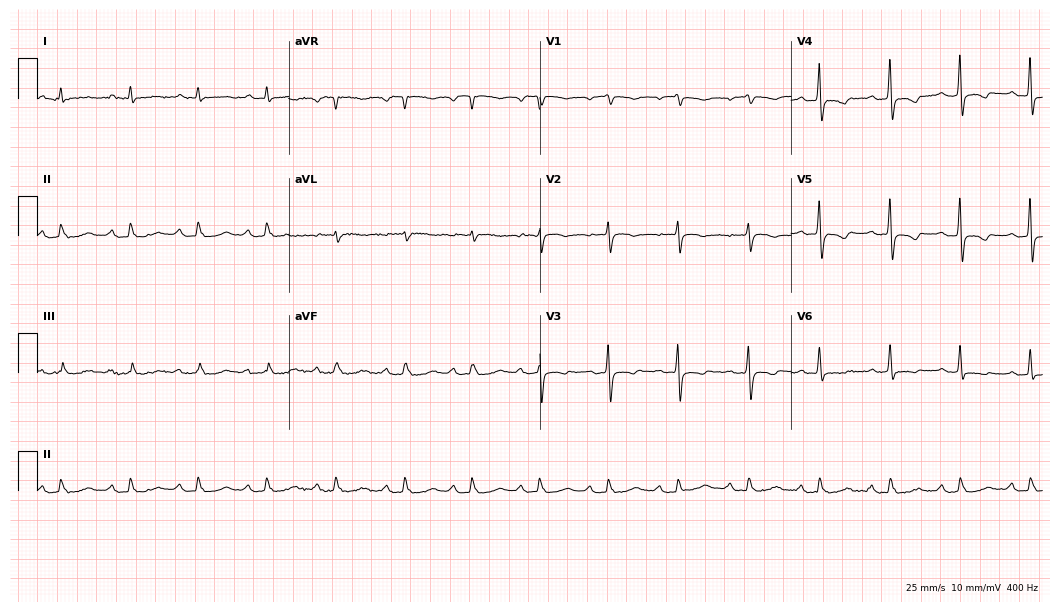
12-lead ECG from an 82-year-old male patient. Findings include first-degree AV block.